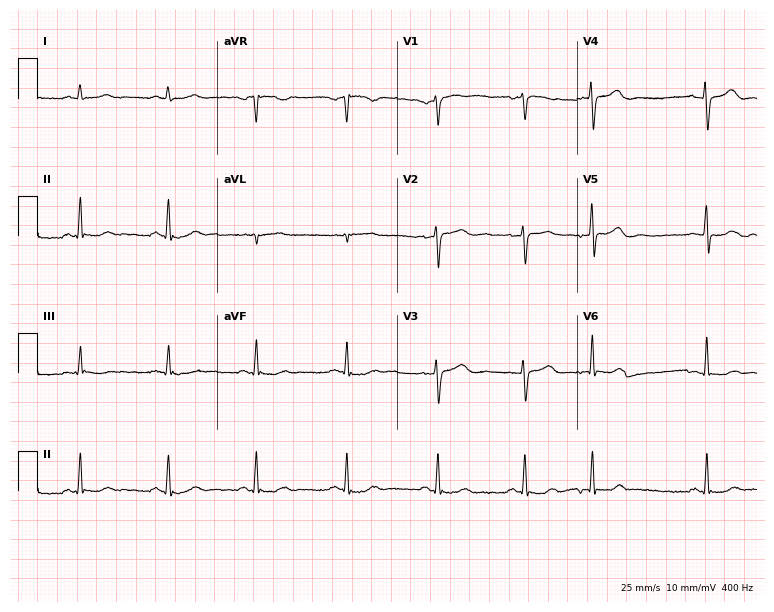
12-lead ECG from a female patient, 53 years old (7.3-second recording at 400 Hz). No first-degree AV block, right bundle branch block, left bundle branch block, sinus bradycardia, atrial fibrillation or sinus tachycardia recorded for this tracing.